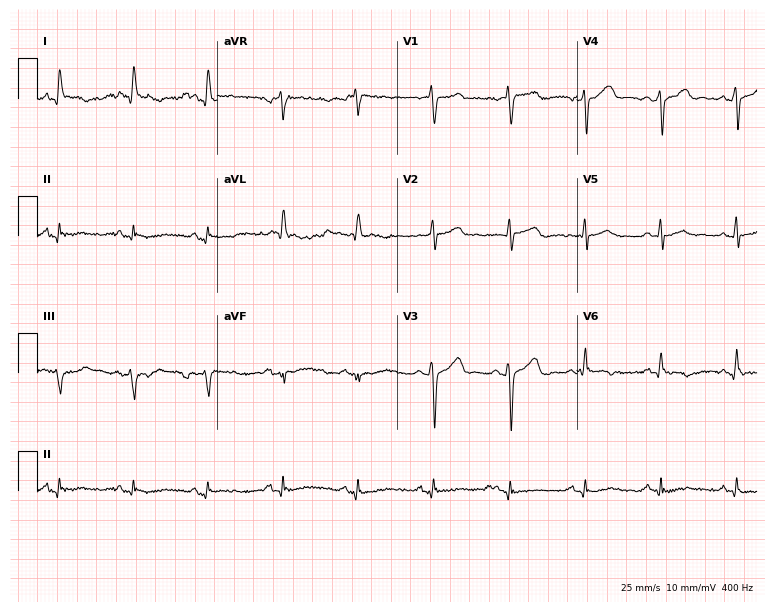
Resting 12-lead electrocardiogram (7.3-second recording at 400 Hz). Patient: a man, 70 years old. Read as a normal ECG.